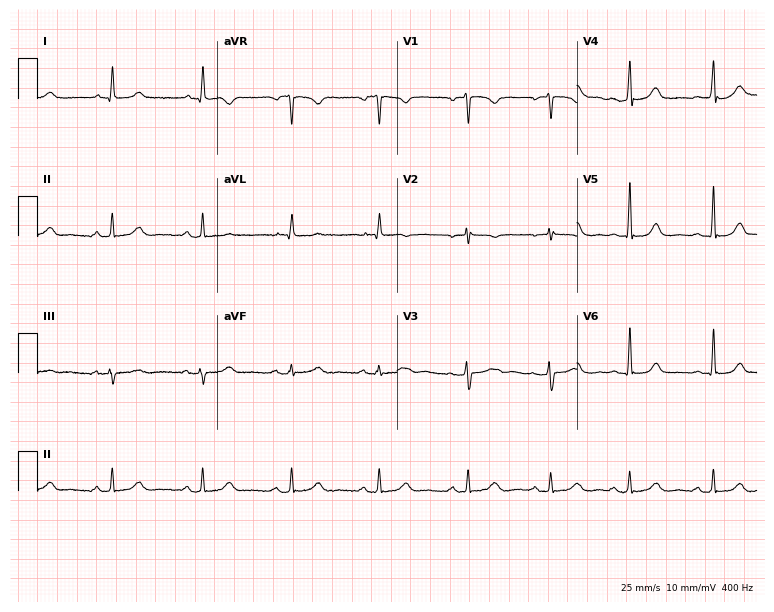
Standard 12-lead ECG recorded from a 34-year-old female patient. Read as a normal ECG.